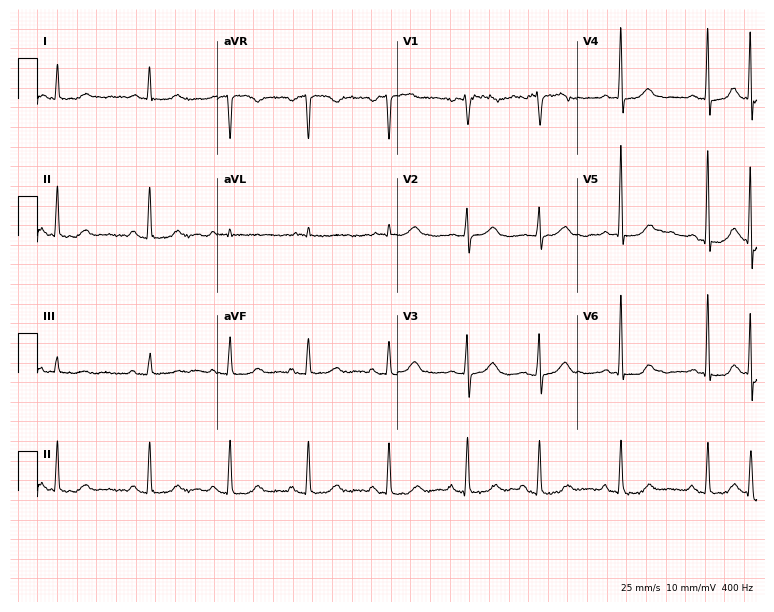
ECG — a 65-year-old female patient. Screened for six findings — first-degree AV block, right bundle branch block (RBBB), left bundle branch block (LBBB), sinus bradycardia, atrial fibrillation (AF), sinus tachycardia — none is recorded.